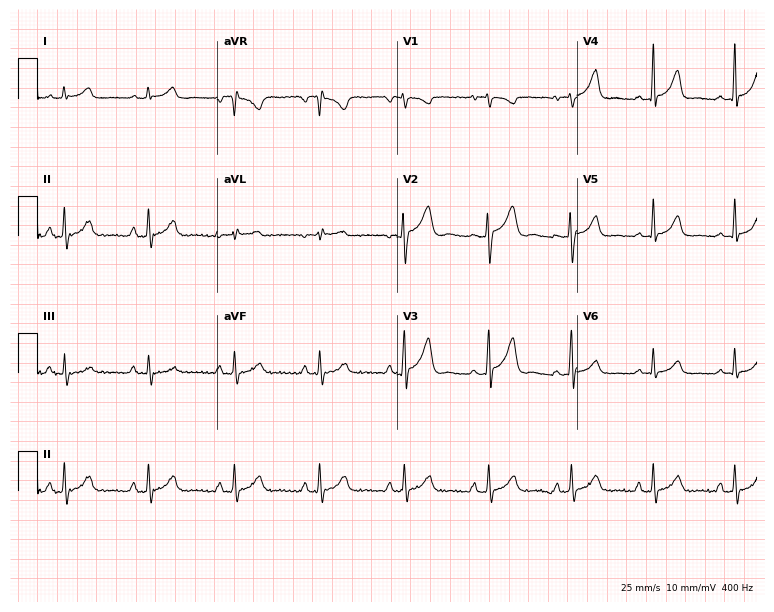
Electrocardiogram (7.3-second recording at 400 Hz), a female patient, 19 years old. Overall reading on record: normal ECG.